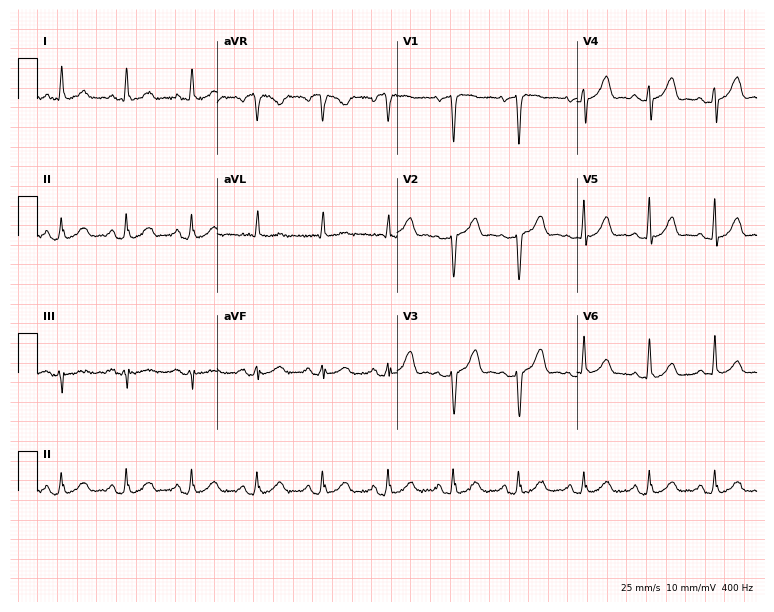
Standard 12-lead ECG recorded from a female patient, 75 years old. None of these six findings is recorded: first-degree AV block, right bundle branch block, left bundle branch block, sinus bradycardia, atrial fibrillation, sinus tachycardia.